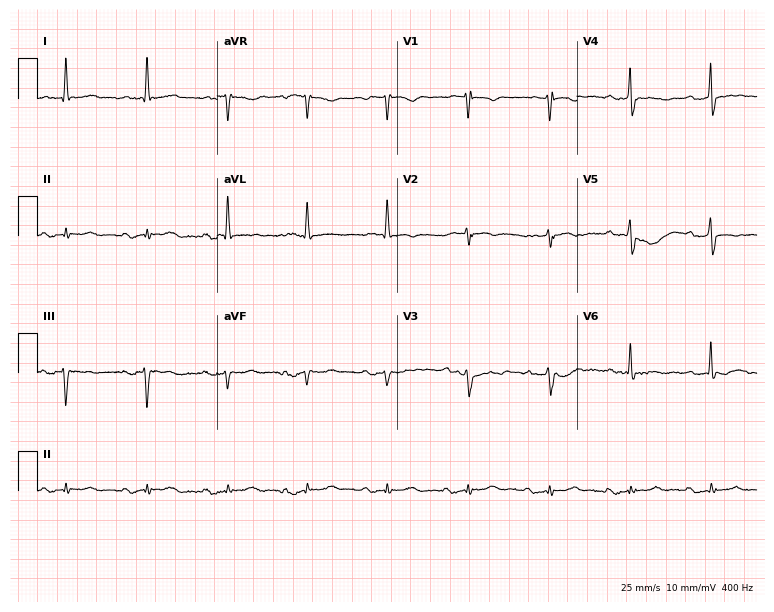
Standard 12-lead ECG recorded from a 76-year-old male (7.3-second recording at 400 Hz). None of these six findings is recorded: first-degree AV block, right bundle branch block, left bundle branch block, sinus bradycardia, atrial fibrillation, sinus tachycardia. Findings outside these six are not listed.